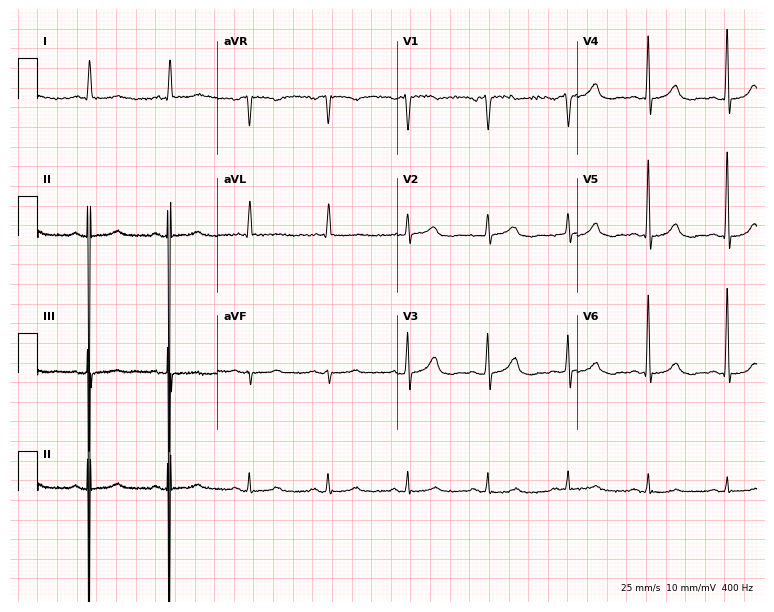
Resting 12-lead electrocardiogram. Patient: a 69-year-old female. None of these six findings is recorded: first-degree AV block, right bundle branch block (RBBB), left bundle branch block (LBBB), sinus bradycardia, atrial fibrillation (AF), sinus tachycardia. Only these six findings were labelled.